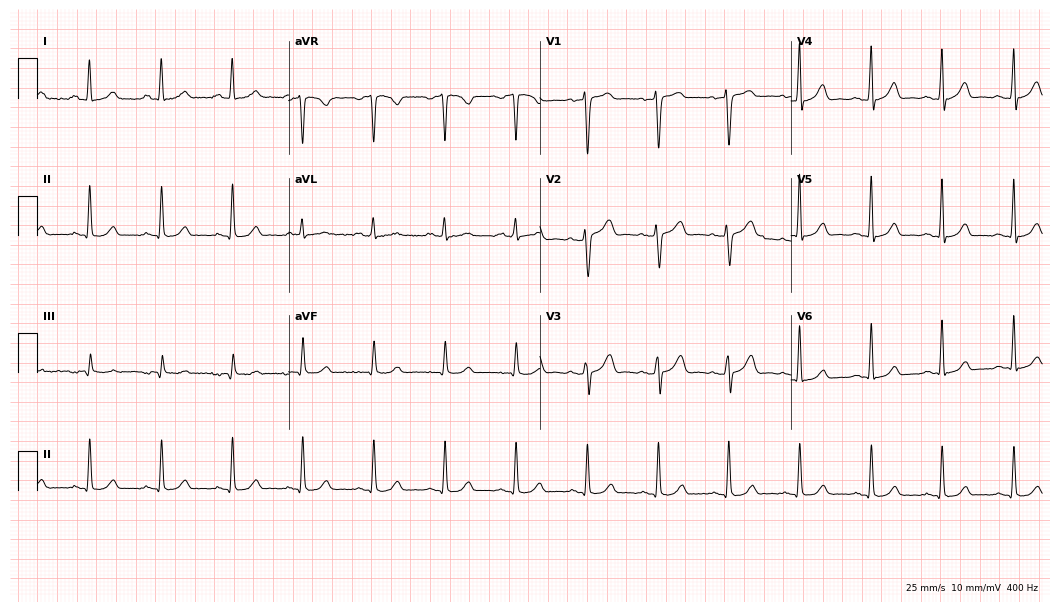
Electrocardiogram (10.2-second recording at 400 Hz), a 64-year-old female patient. Overall reading on record: normal ECG.